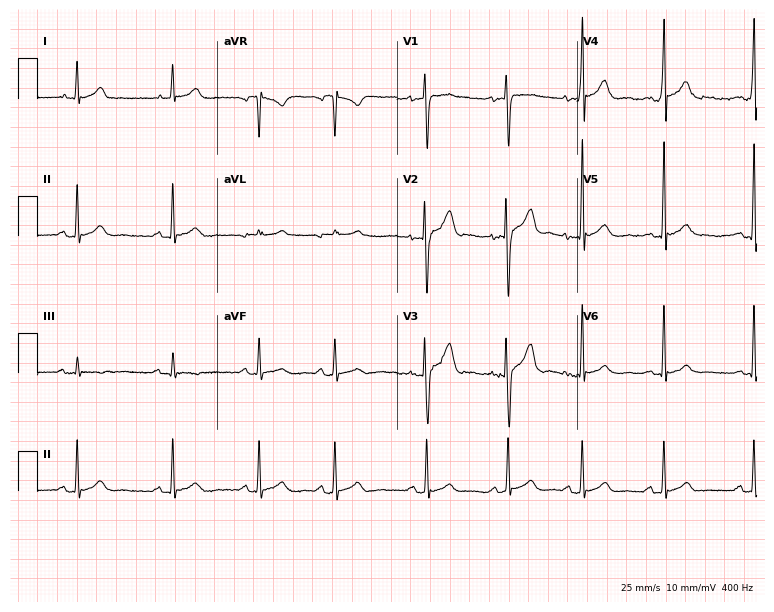
12-lead ECG (7.3-second recording at 400 Hz) from a 42-year-old man. Labelled as a normal ECG.